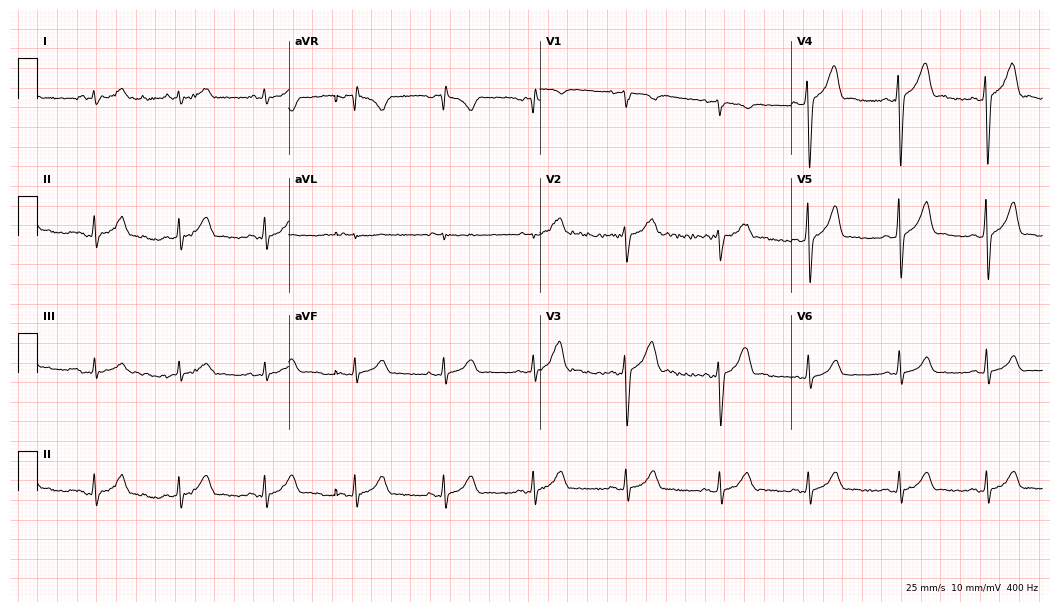
ECG — a 40-year-old male patient. Screened for six findings — first-degree AV block, right bundle branch block, left bundle branch block, sinus bradycardia, atrial fibrillation, sinus tachycardia — none is recorded. Other findings, if any, are not listed.